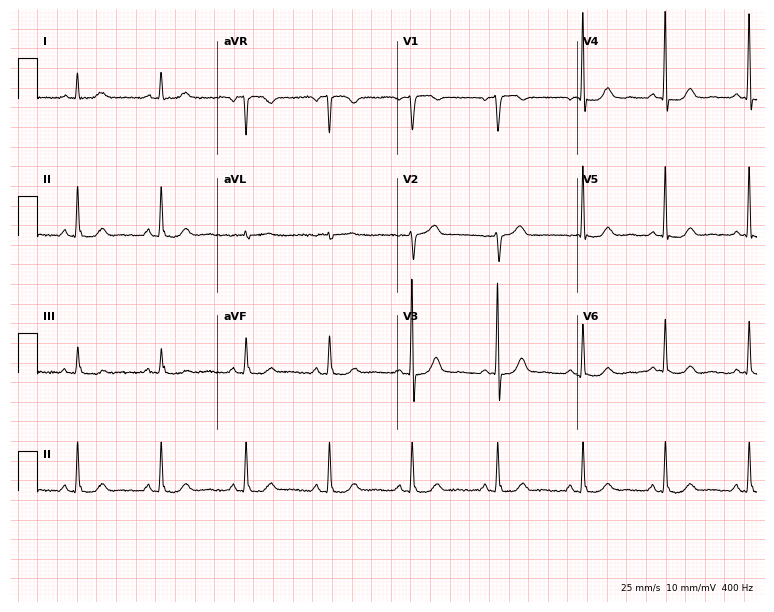
ECG — a 66-year-old female patient. Labelled as a normal ECG.